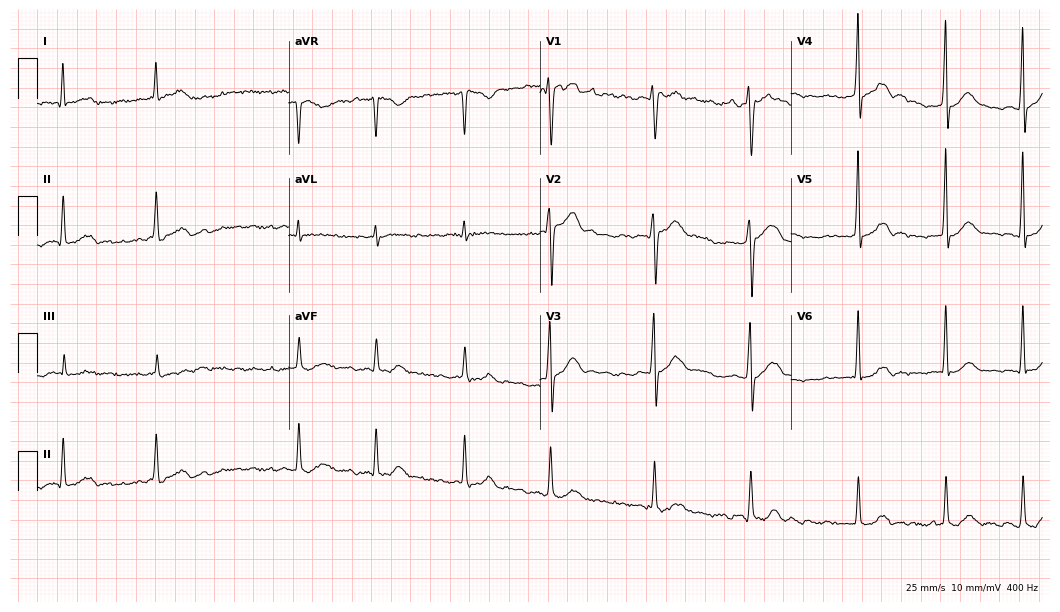
12-lead ECG (10.2-second recording at 400 Hz) from a 49-year-old male patient. Findings include atrial fibrillation (AF).